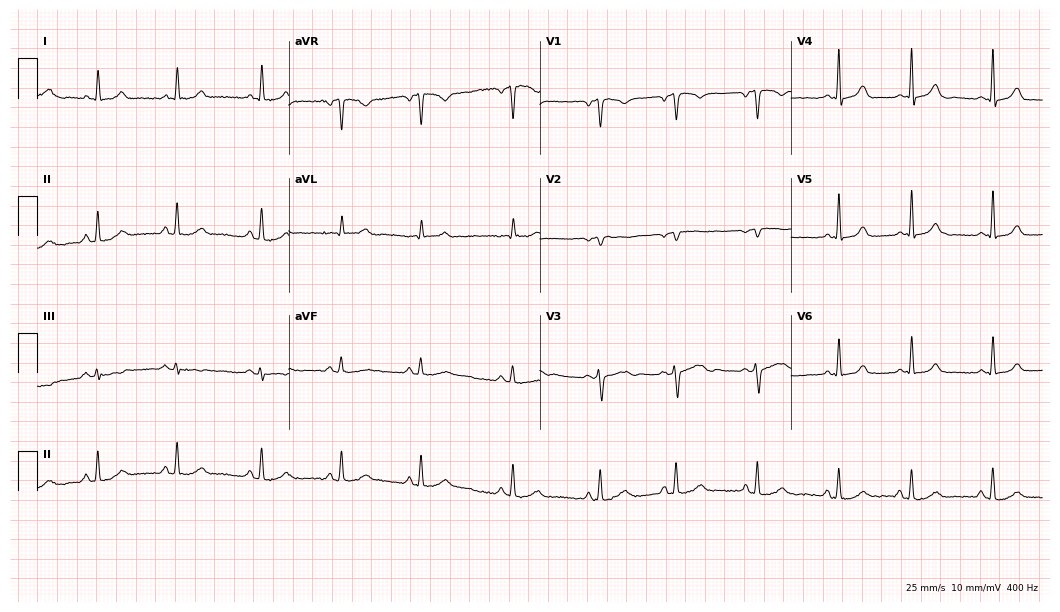
Resting 12-lead electrocardiogram. Patient: a 32-year-old female. Read as a normal ECG.